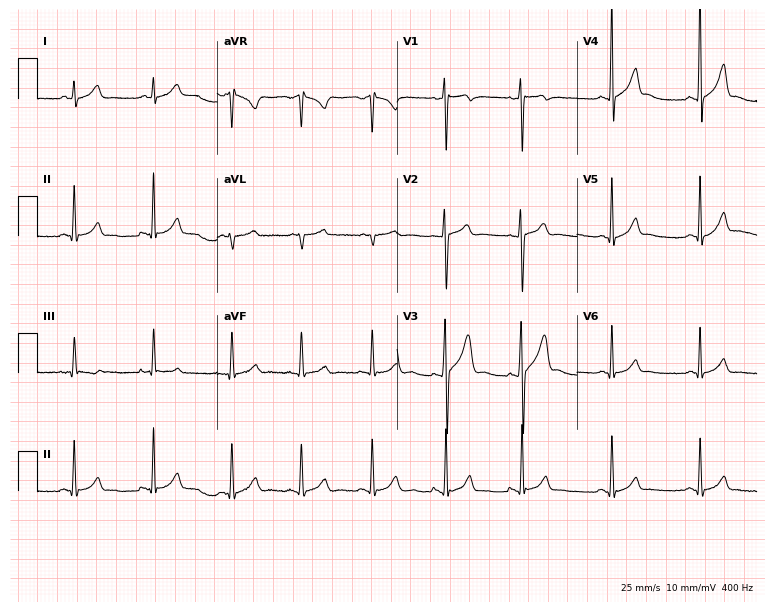
Resting 12-lead electrocardiogram (7.3-second recording at 400 Hz). Patient: a 21-year-old male. Read as a normal ECG.